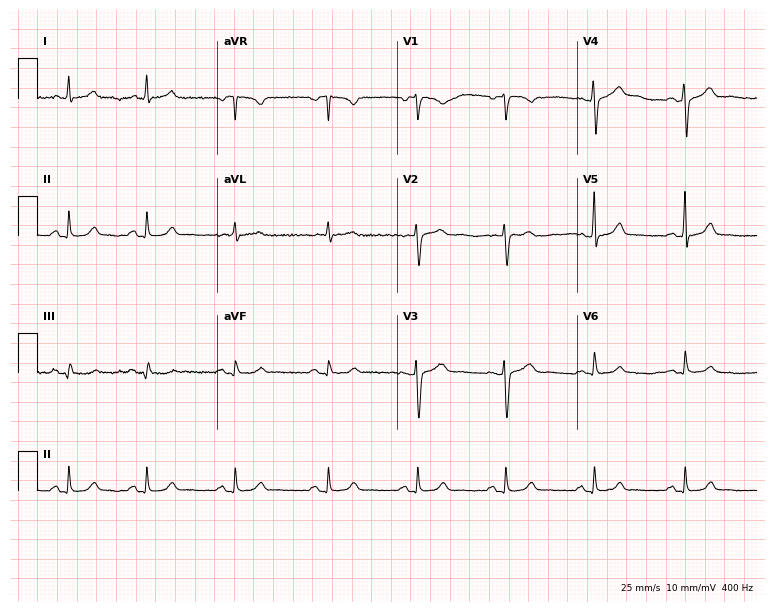
Electrocardiogram, a female patient, 34 years old. Overall reading on record: normal ECG.